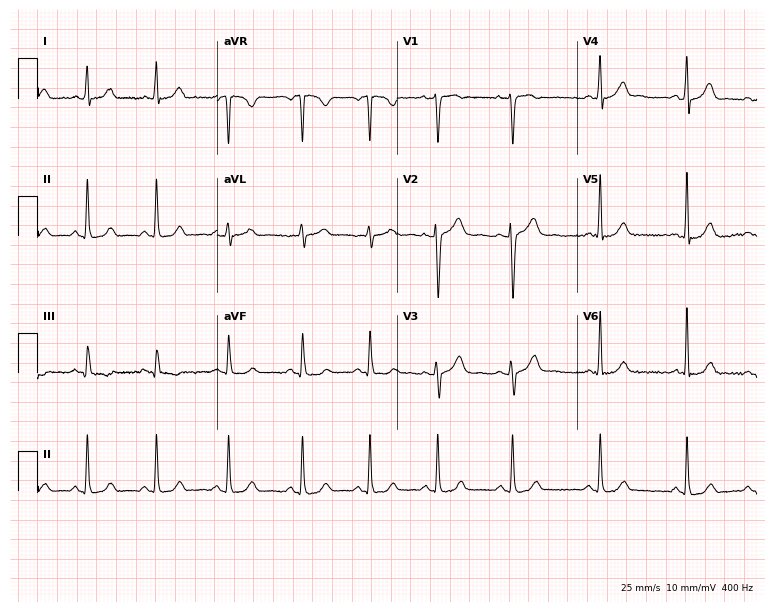
12-lead ECG (7.3-second recording at 400 Hz) from a female patient, 33 years old. Labelled as a normal ECG.